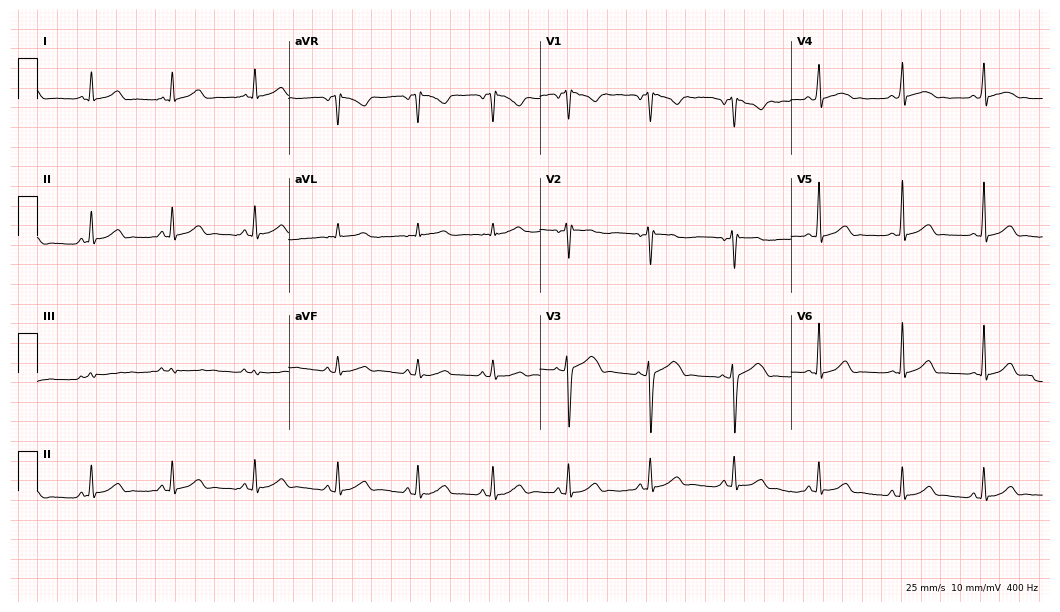
Electrocardiogram (10.2-second recording at 400 Hz), a woman, 17 years old. Overall reading on record: normal ECG.